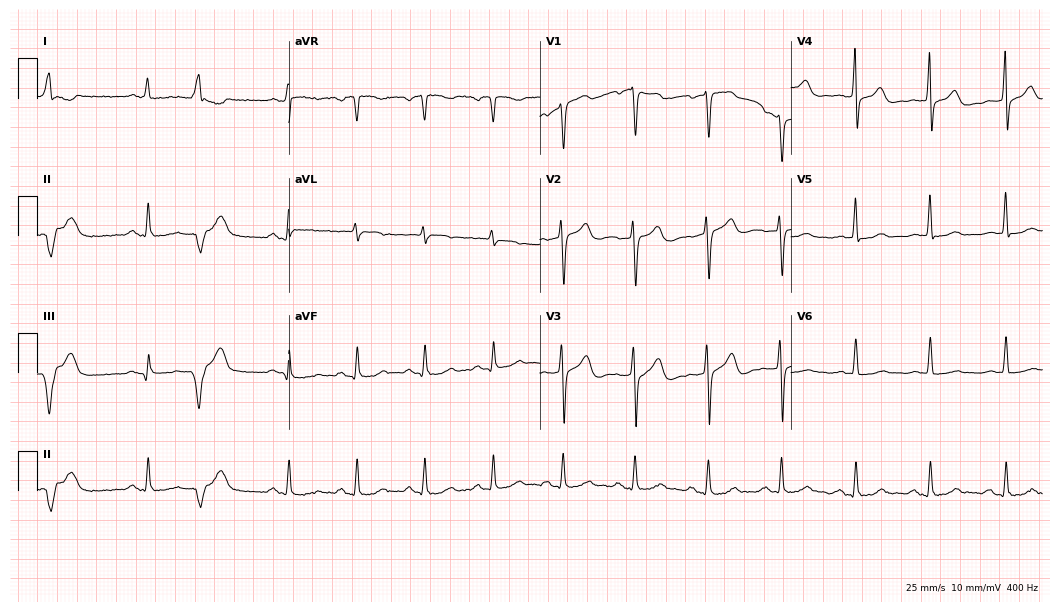
12-lead ECG from a 65-year-old male. Screened for six findings — first-degree AV block, right bundle branch block, left bundle branch block, sinus bradycardia, atrial fibrillation, sinus tachycardia — none is recorded.